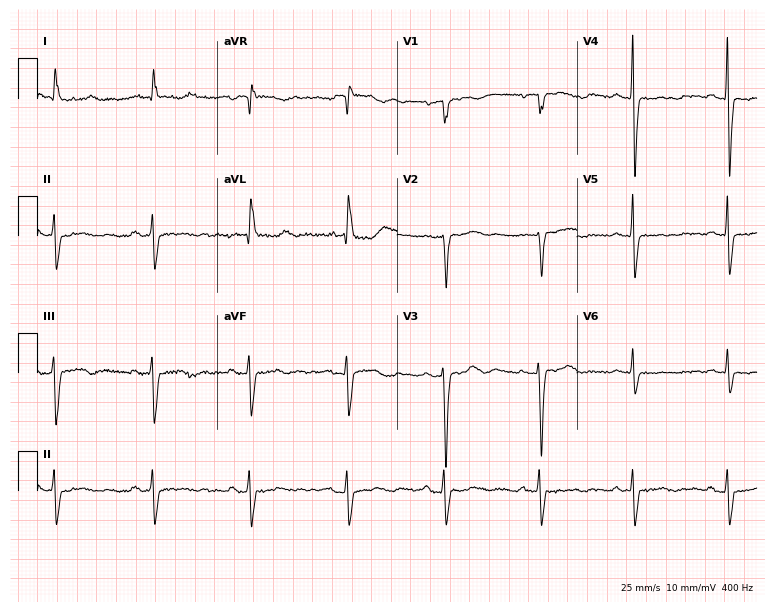
ECG — a female patient, 72 years old. Screened for six findings — first-degree AV block, right bundle branch block, left bundle branch block, sinus bradycardia, atrial fibrillation, sinus tachycardia — none is recorded. Only these six findings were labelled.